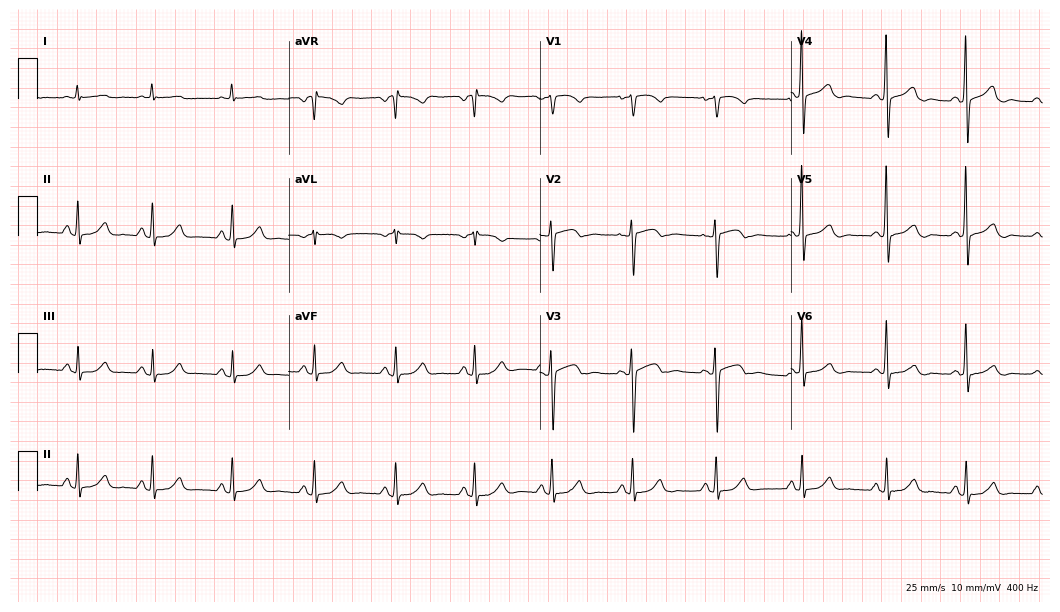
12-lead ECG from a 69-year-old female (10.2-second recording at 400 Hz). No first-degree AV block, right bundle branch block, left bundle branch block, sinus bradycardia, atrial fibrillation or sinus tachycardia recorded for this tracing.